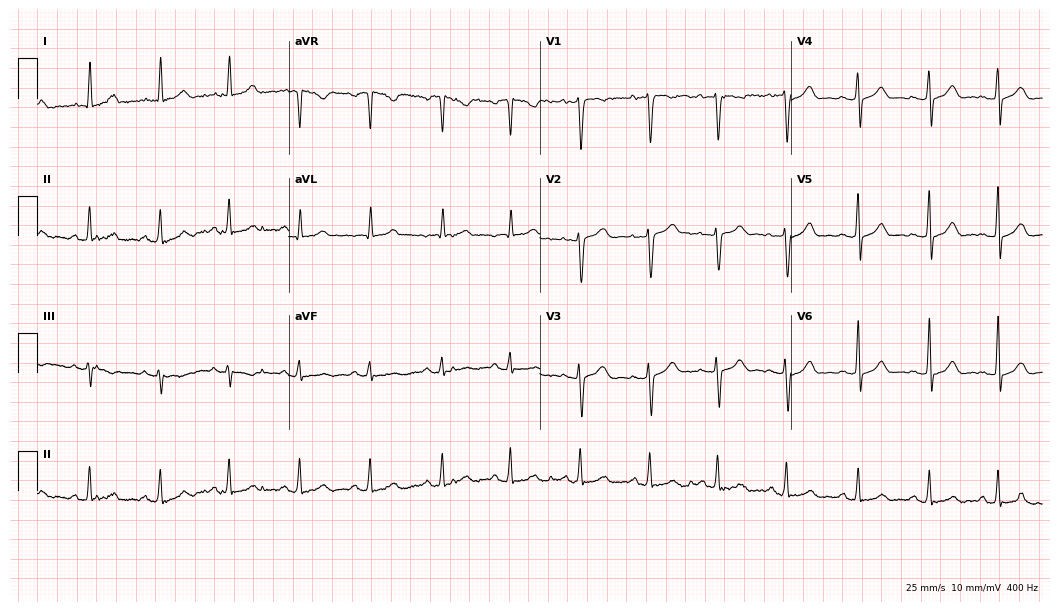
Electrocardiogram (10.2-second recording at 400 Hz), a 36-year-old female. Of the six screened findings (first-degree AV block, right bundle branch block, left bundle branch block, sinus bradycardia, atrial fibrillation, sinus tachycardia), none is recorded. Findings outside these six are not listed.